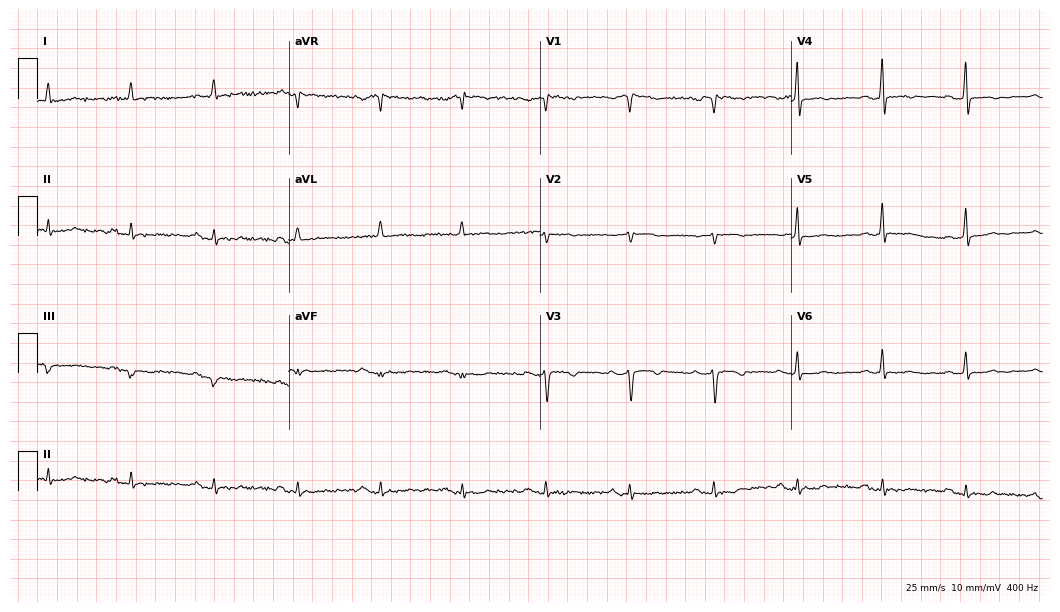
12-lead ECG from an 83-year-old female patient. Screened for six findings — first-degree AV block, right bundle branch block (RBBB), left bundle branch block (LBBB), sinus bradycardia, atrial fibrillation (AF), sinus tachycardia — none is recorded.